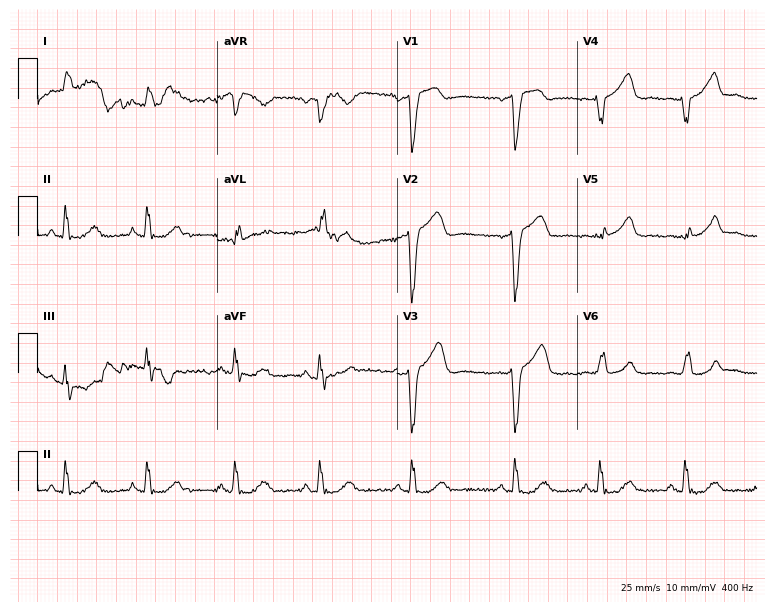
12-lead ECG from a woman, 61 years old. Findings include left bundle branch block.